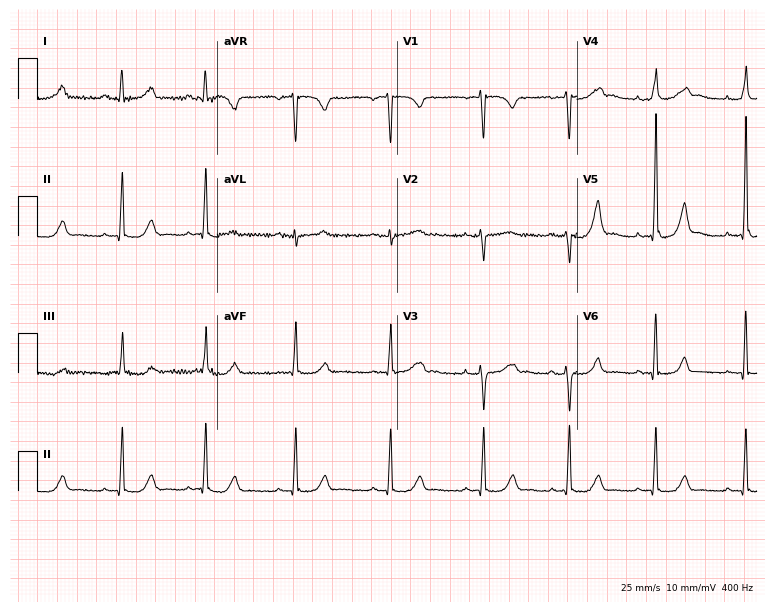
12-lead ECG from a female patient, 34 years old. Screened for six findings — first-degree AV block, right bundle branch block, left bundle branch block, sinus bradycardia, atrial fibrillation, sinus tachycardia — none is recorded.